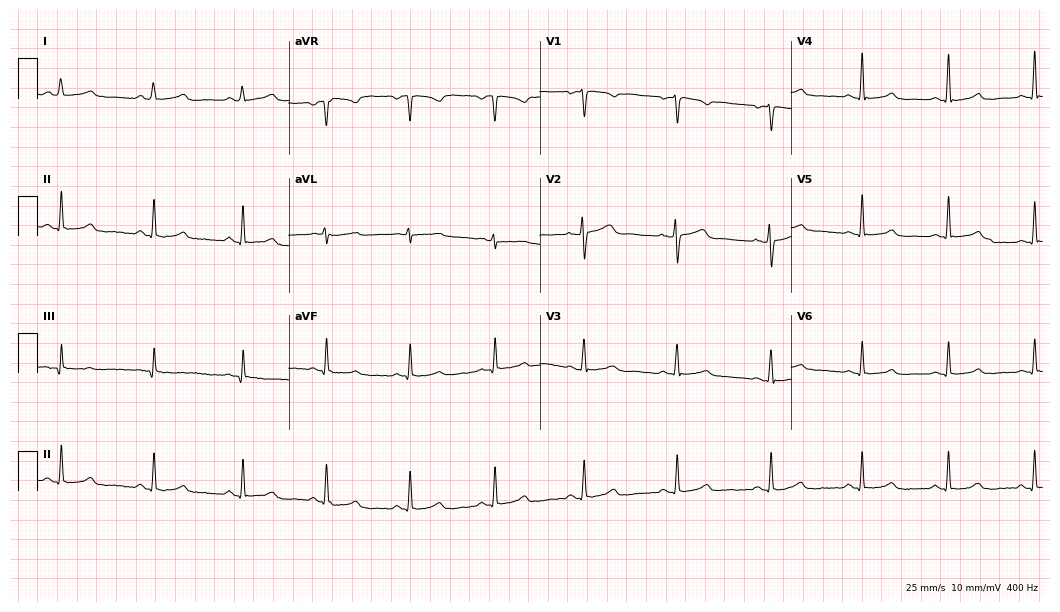
Resting 12-lead electrocardiogram (10.2-second recording at 400 Hz). Patient: a female, 33 years old. None of these six findings is recorded: first-degree AV block, right bundle branch block, left bundle branch block, sinus bradycardia, atrial fibrillation, sinus tachycardia. Findings outside these six are not listed.